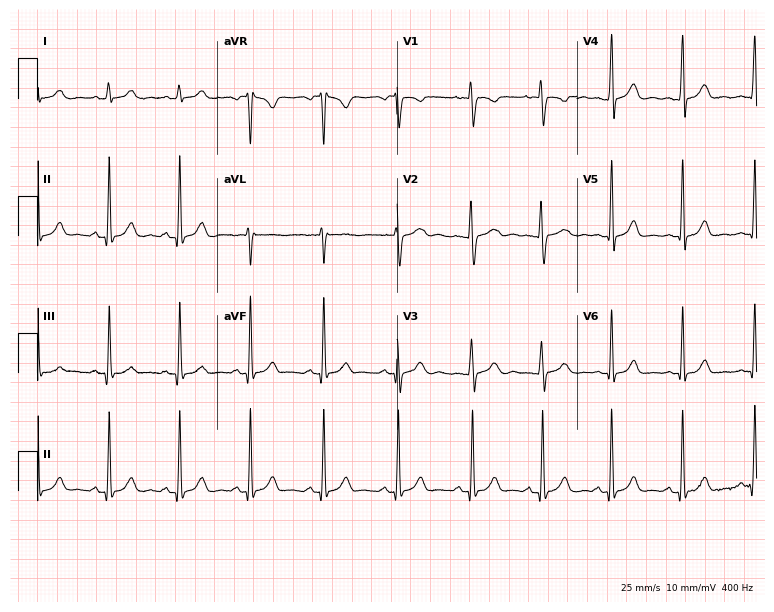
12-lead ECG from a female patient, 25 years old (7.3-second recording at 400 Hz). Recorded interpretation: within normal limits.